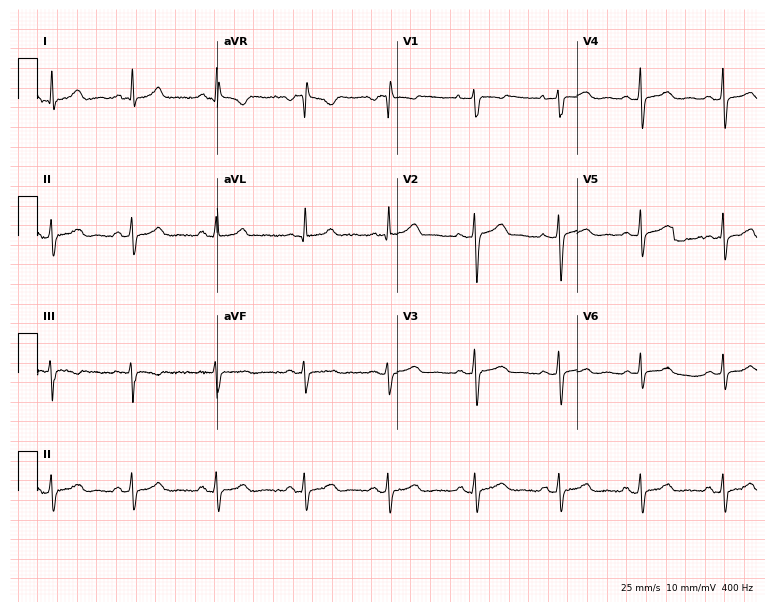
Electrocardiogram (7.3-second recording at 400 Hz), a woman, 30 years old. Of the six screened findings (first-degree AV block, right bundle branch block, left bundle branch block, sinus bradycardia, atrial fibrillation, sinus tachycardia), none is recorded.